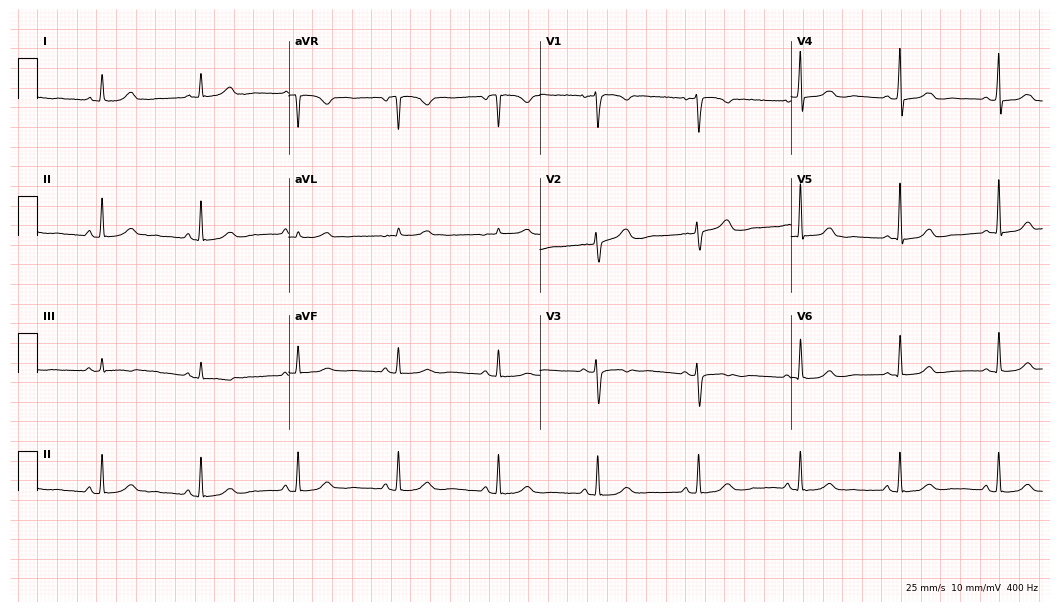
12-lead ECG from a female patient, 46 years old (10.2-second recording at 400 Hz). Recorded interpretation: within normal limits.